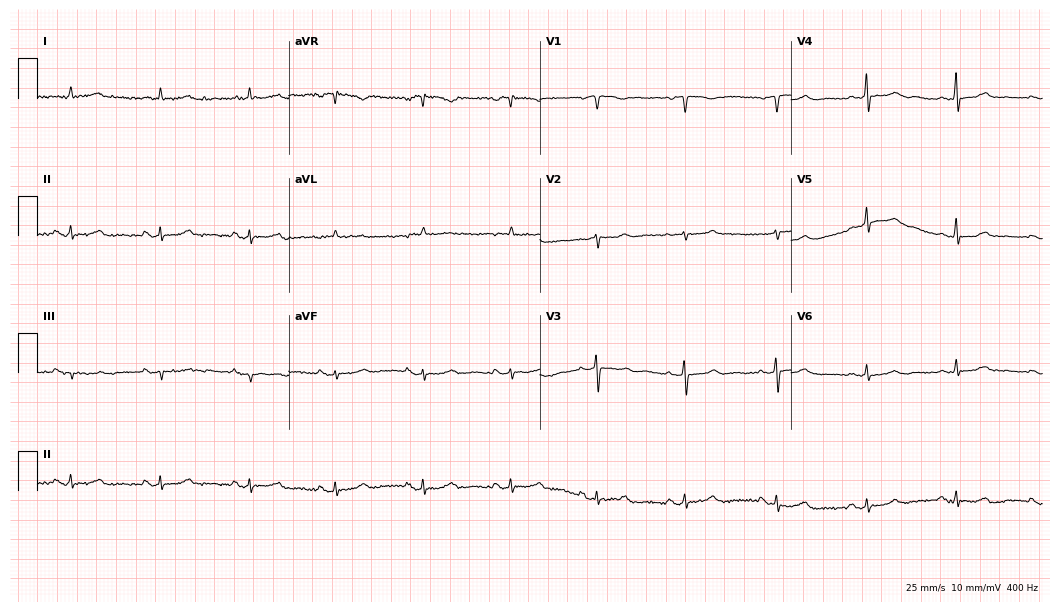
12-lead ECG from a woman, 74 years old. Screened for six findings — first-degree AV block, right bundle branch block, left bundle branch block, sinus bradycardia, atrial fibrillation, sinus tachycardia — none is recorded. Other findings, if any, are not listed.